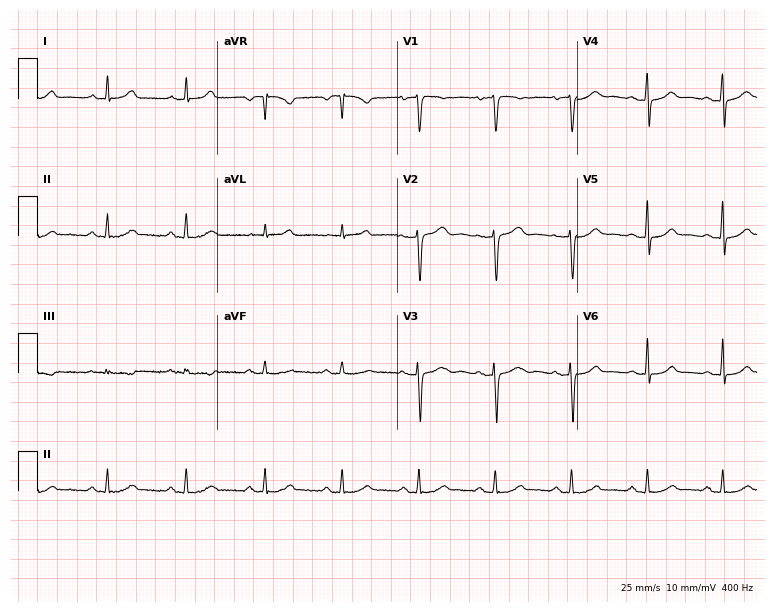
Standard 12-lead ECG recorded from a female patient, 54 years old. None of these six findings is recorded: first-degree AV block, right bundle branch block, left bundle branch block, sinus bradycardia, atrial fibrillation, sinus tachycardia. Other findings, if any, are not listed.